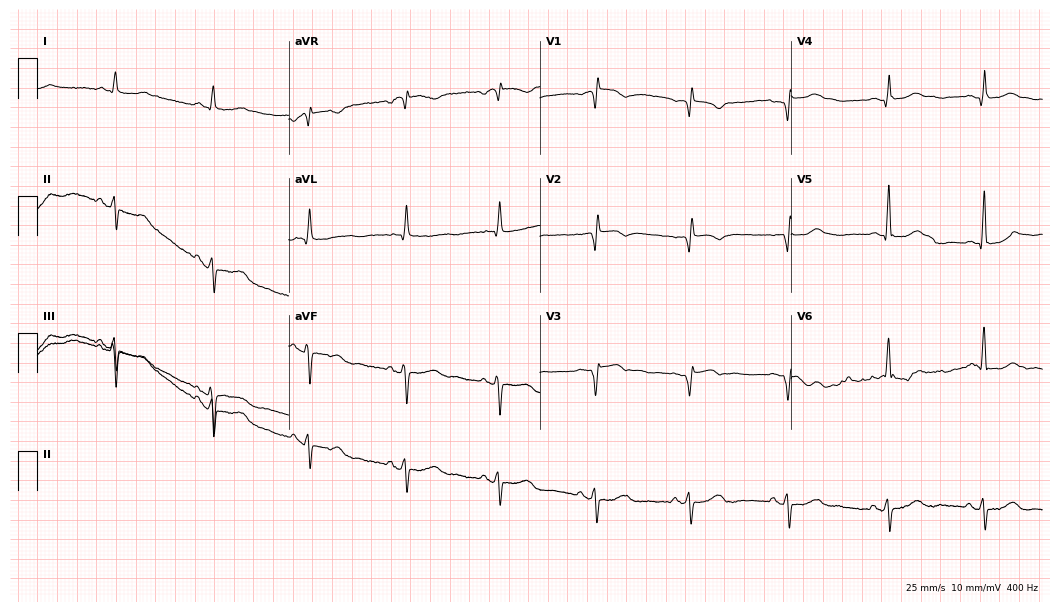
Standard 12-lead ECG recorded from a 69-year-old female. None of these six findings is recorded: first-degree AV block, right bundle branch block, left bundle branch block, sinus bradycardia, atrial fibrillation, sinus tachycardia.